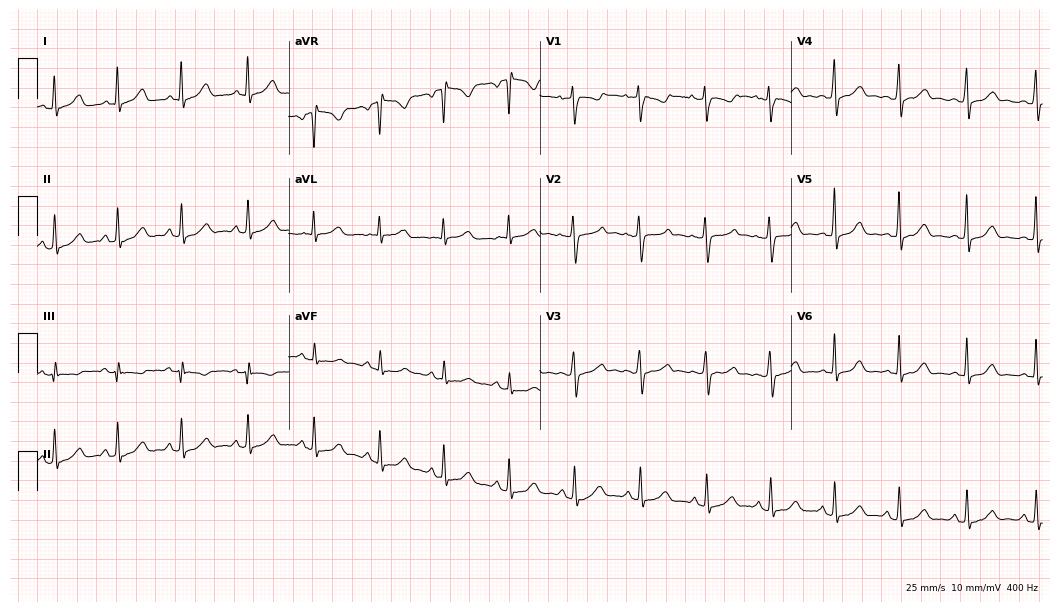
Resting 12-lead electrocardiogram. Patient: a 33-year-old female. Read as a normal ECG.